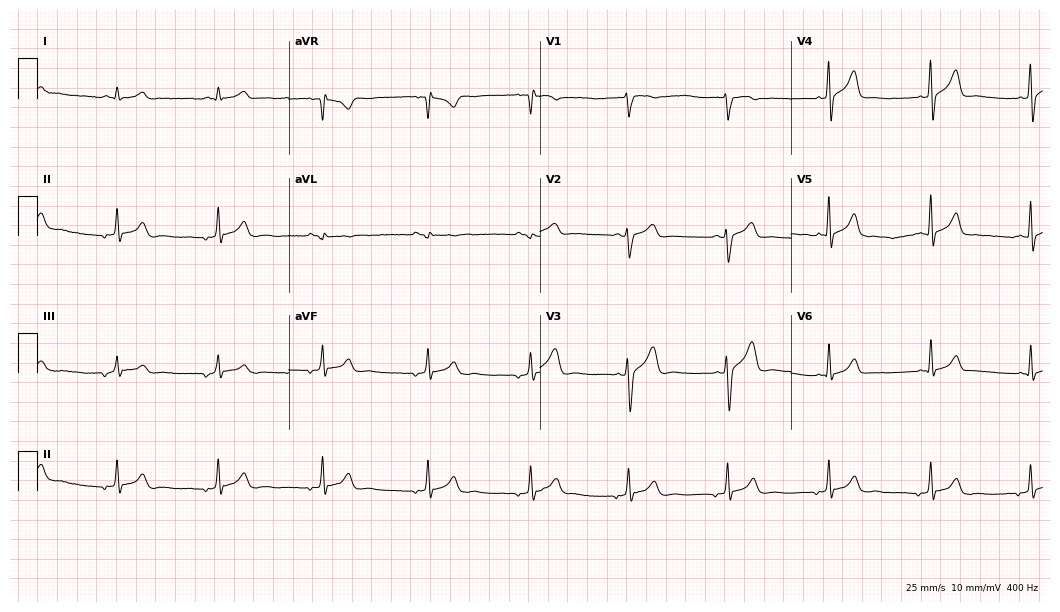
12-lead ECG from a male, 32 years old. No first-degree AV block, right bundle branch block, left bundle branch block, sinus bradycardia, atrial fibrillation or sinus tachycardia recorded for this tracing.